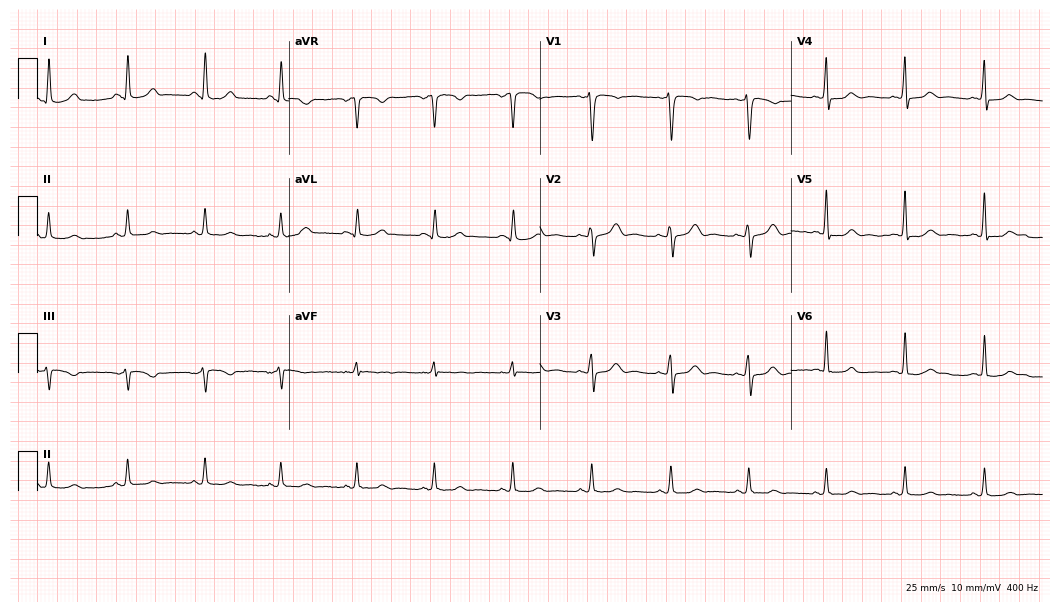
Resting 12-lead electrocardiogram (10.2-second recording at 400 Hz). Patient: a 49-year-old female. Read as a normal ECG.